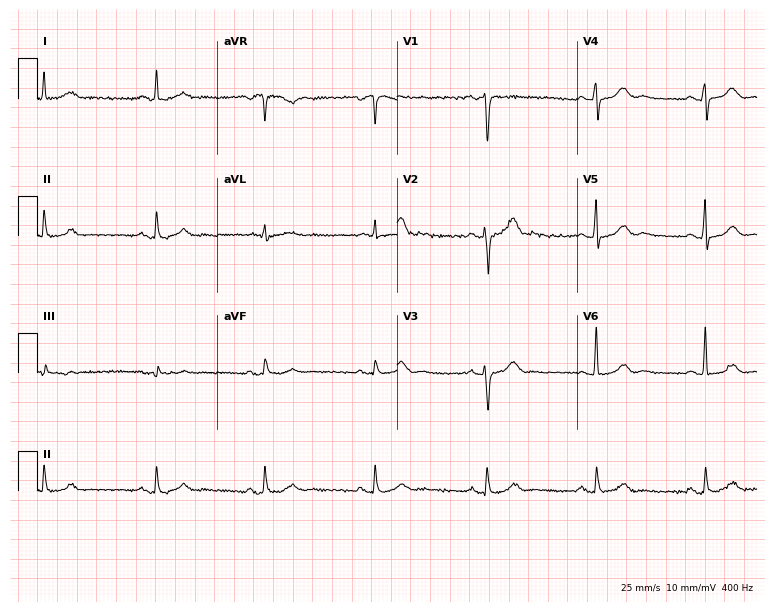
12-lead ECG from a 49-year-old female patient (7.3-second recording at 400 Hz). Recorded interpretation: within normal limits.